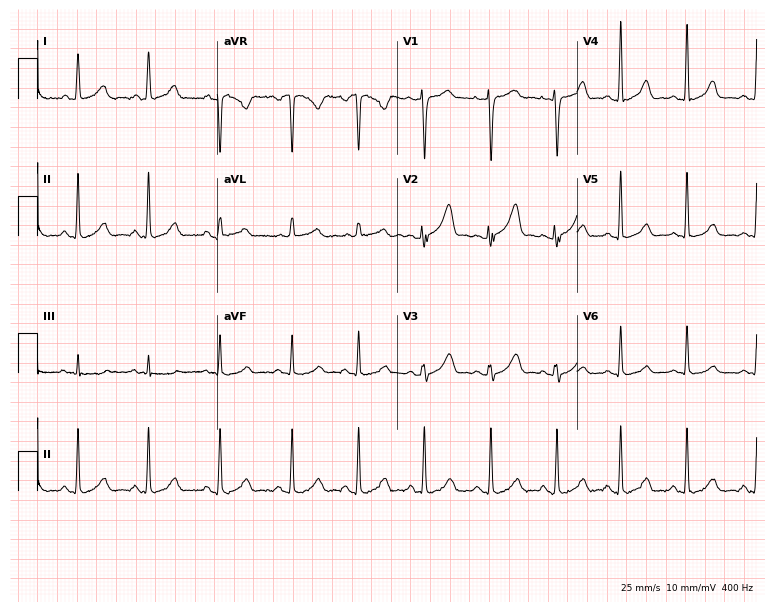
12-lead ECG from a female, 43 years old. Labelled as a normal ECG.